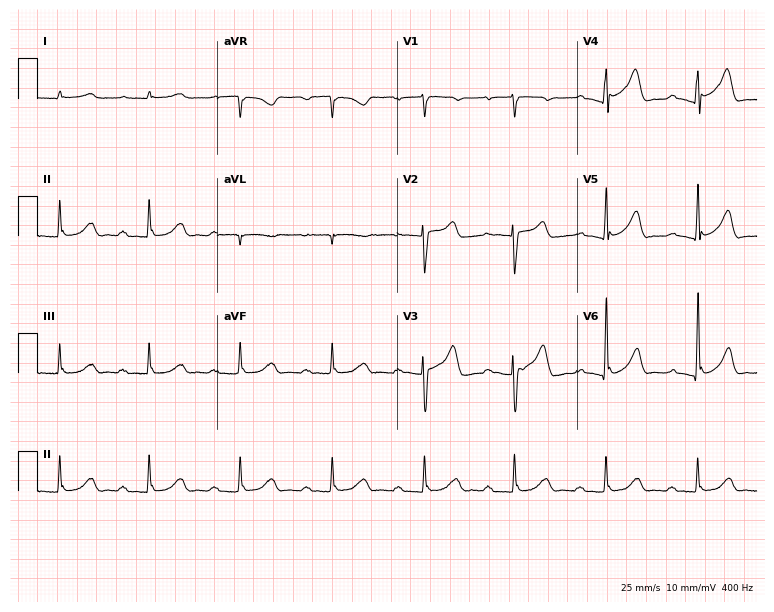
Electrocardiogram, an 84-year-old male patient. Overall reading on record: normal ECG.